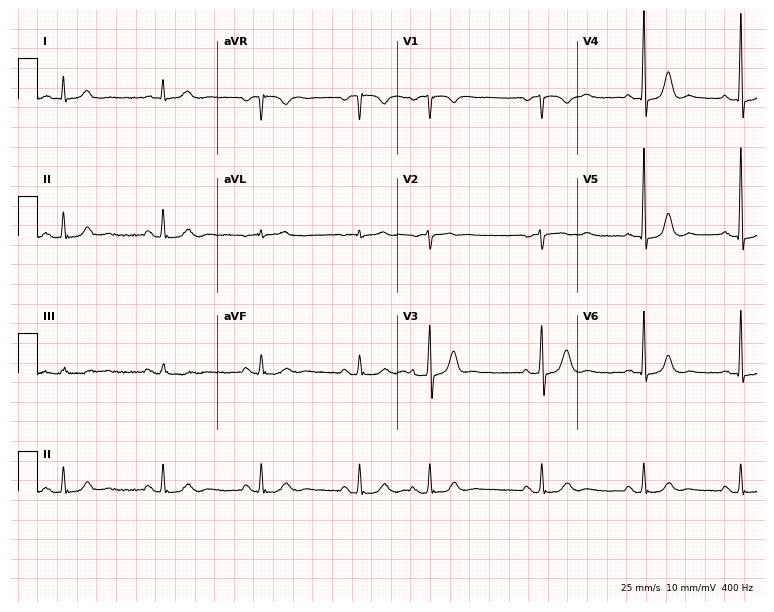
12-lead ECG from a 73-year-old man. No first-degree AV block, right bundle branch block, left bundle branch block, sinus bradycardia, atrial fibrillation or sinus tachycardia recorded for this tracing. Other findings, if any, are not listed.